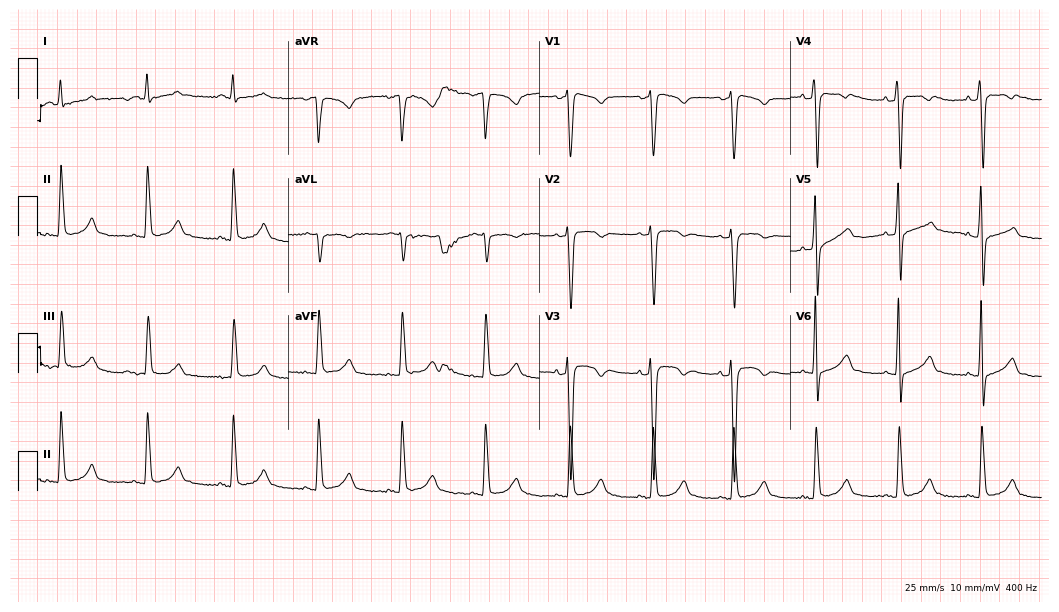
12-lead ECG (10.2-second recording at 400 Hz) from a male, 30 years old. Labelled as a normal ECG.